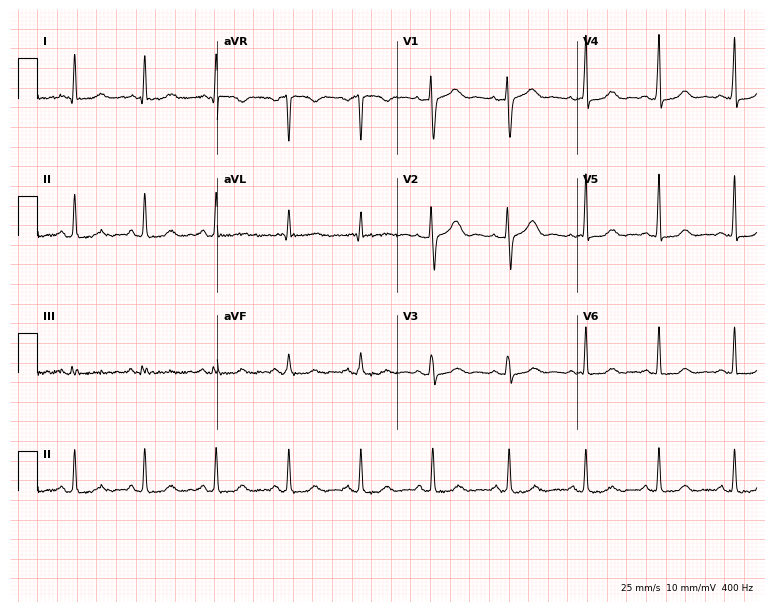
12-lead ECG (7.3-second recording at 400 Hz) from a 39-year-old female patient. Screened for six findings — first-degree AV block, right bundle branch block (RBBB), left bundle branch block (LBBB), sinus bradycardia, atrial fibrillation (AF), sinus tachycardia — none is recorded. Findings outside these six are not listed.